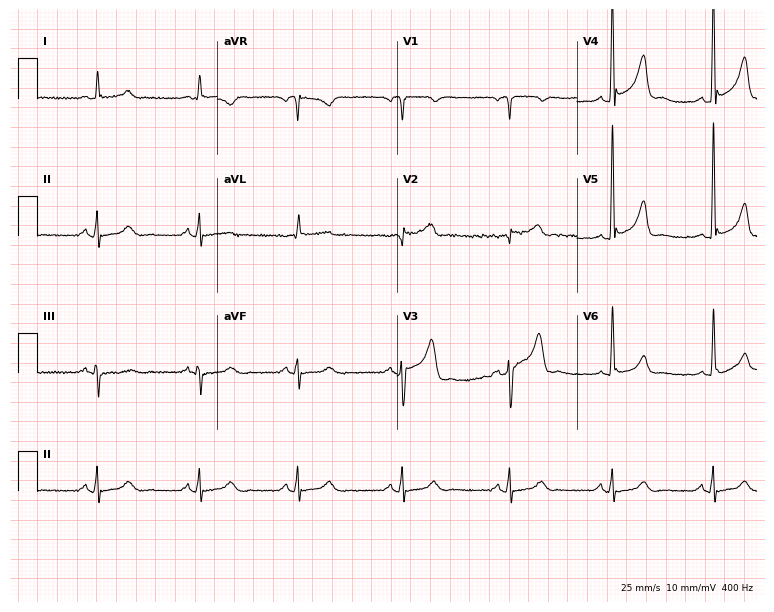
Electrocardiogram, a 66-year-old man. Overall reading on record: normal ECG.